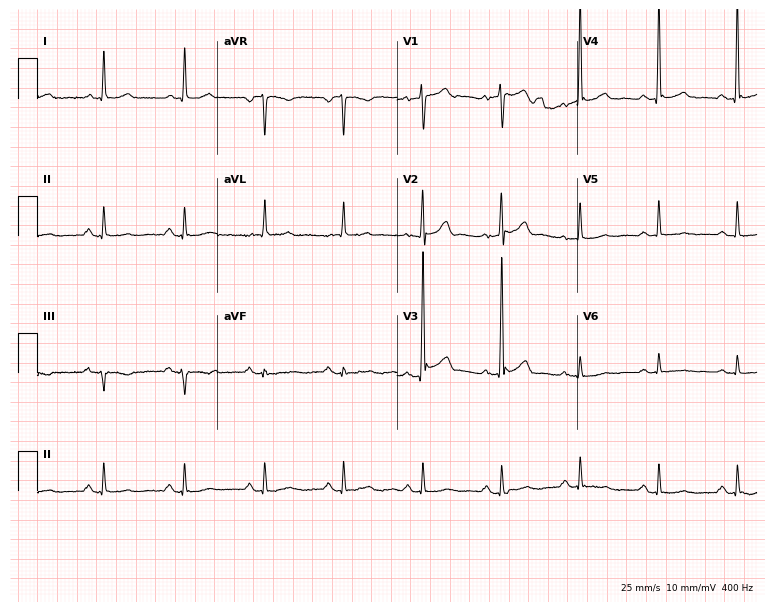
12-lead ECG from a 57-year-old male (7.3-second recording at 400 Hz). No first-degree AV block, right bundle branch block, left bundle branch block, sinus bradycardia, atrial fibrillation or sinus tachycardia recorded for this tracing. Other findings, if any, are not listed.